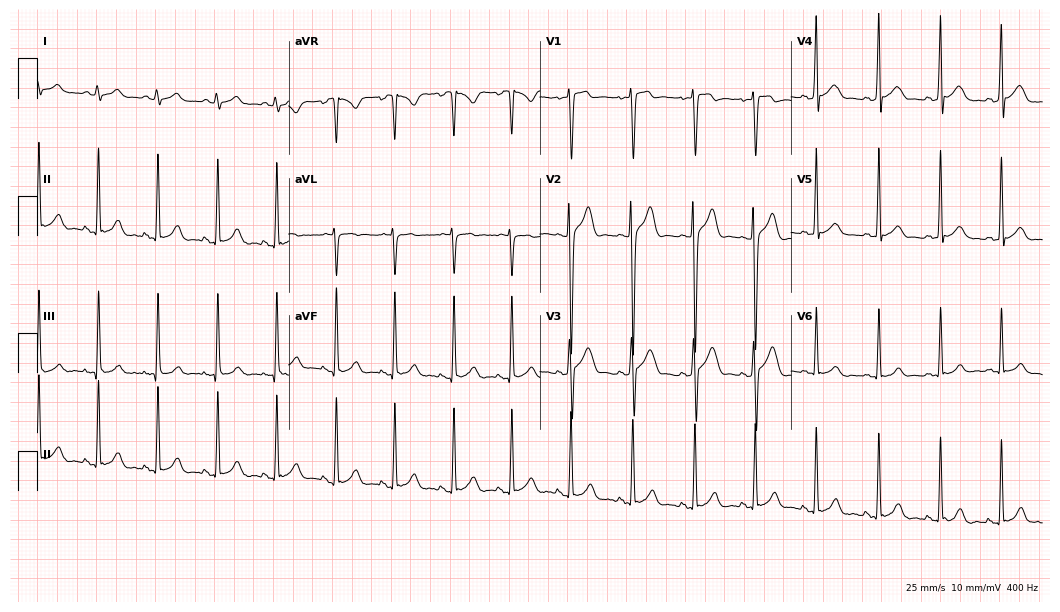
Electrocardiogram, a 25-year-old male patient. Overall reading on record: normal ECG.